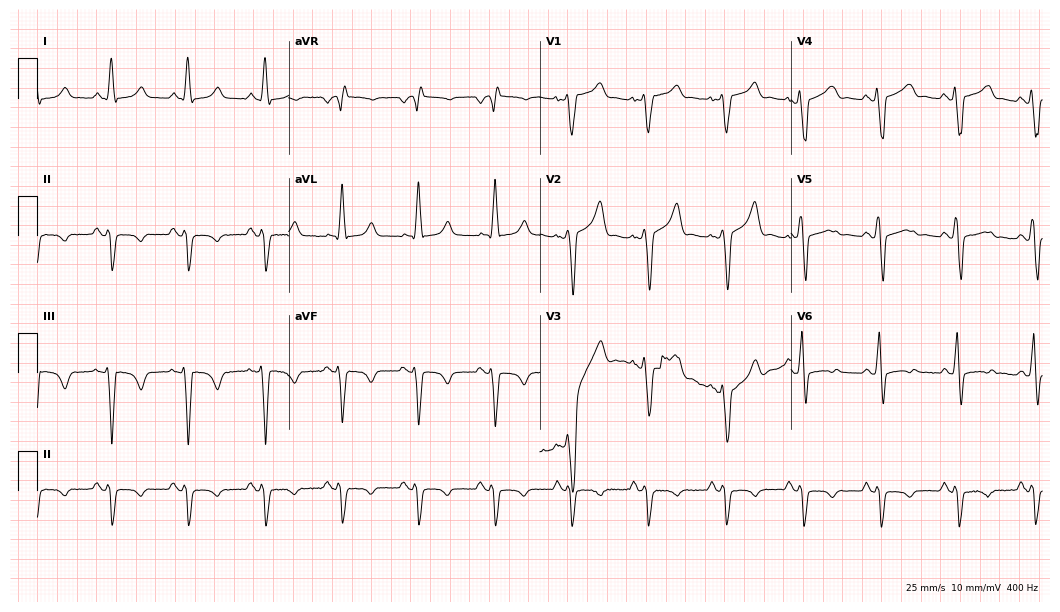
12-lead ECG (10.2-second recording at 400 Hz) from a 46-year-old man. Screened for six findings — first-degree AV block, right bundle branch block, left bundle branch block, sinus bradycardia, atrial fibrillation, sinus tachycardia — none is recorded.